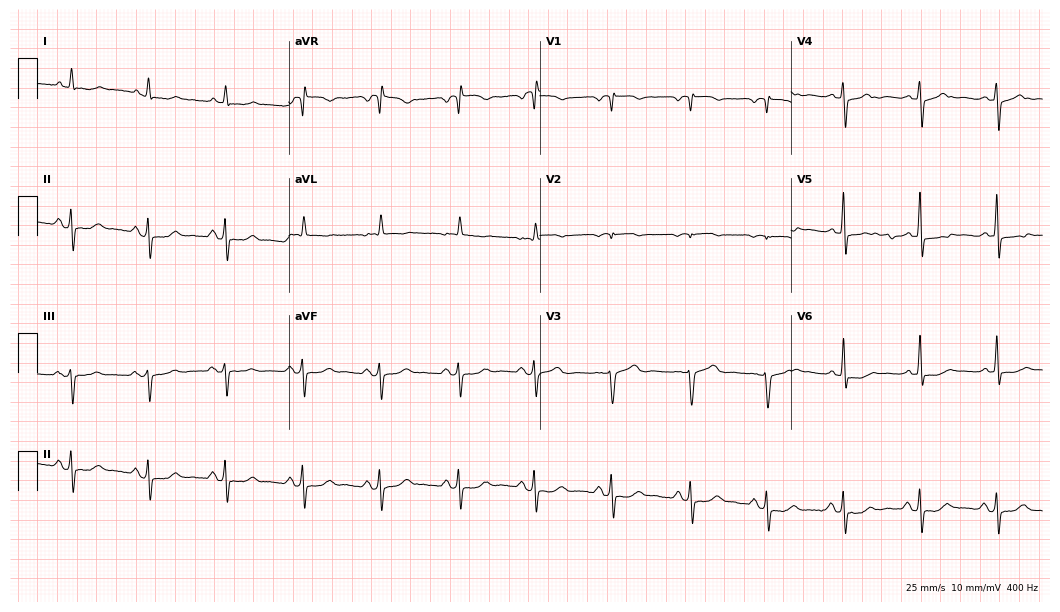
ECG (10.2-second recording at 400 Hz) — a 67-year-old female. Screened for six findings — first-degree AV block, right bundle branch block (RBBB), left bundle branch block (LBBB), sinus bradycardia, atrial fibrillation (AF), sinus tachycardia — none is recorded. Findings outside these six are not listed.